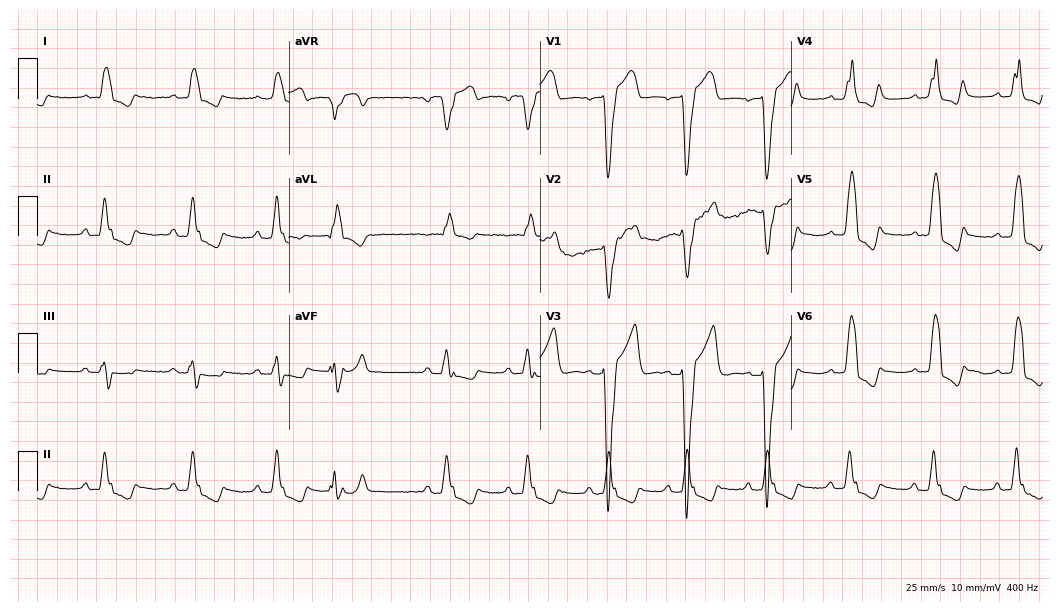
12-lead ECG from a male, 75 years old. Findings include left bundle branch block.